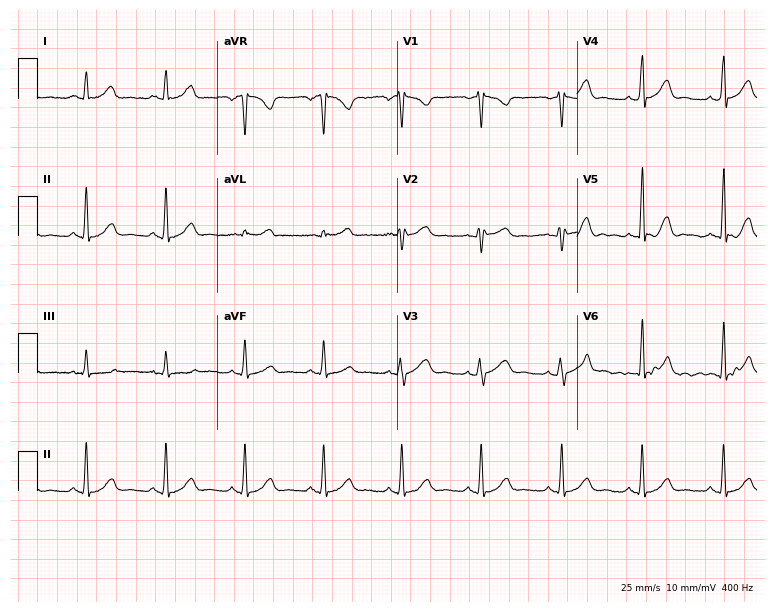
Electrocardiogram, a 36-year-old woman. Of the six screened findings (first-degree AV block, right bundle branch block, left bundle branch block, sinus bradycardia, atrial fibrillation, sinus tachycardia), none is recorded. Other findings, if any, are not listed.